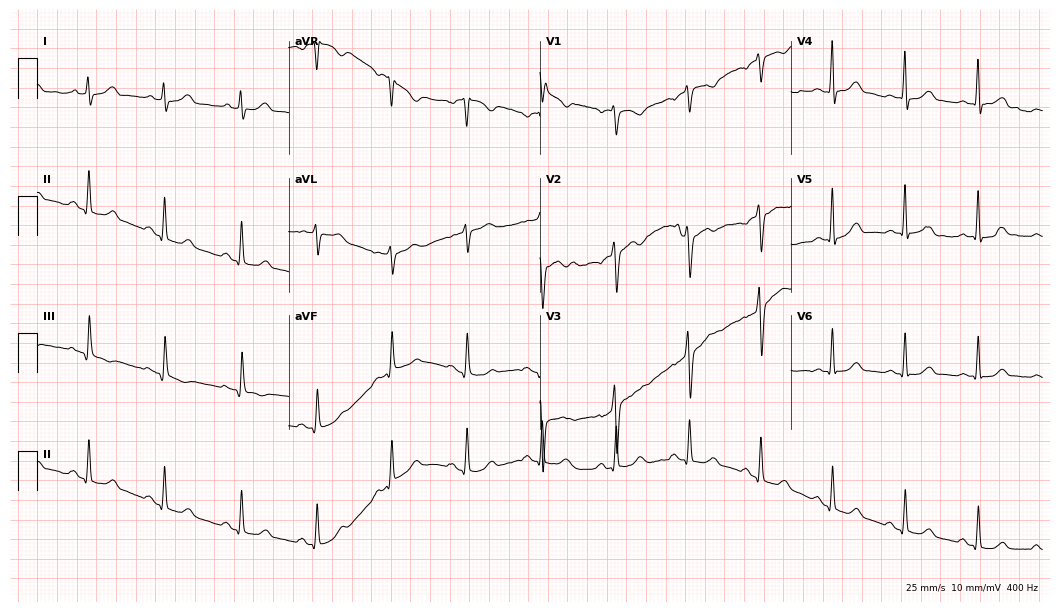
12-lead ECG from a female patient, 38 years old. Labelled as a normal ECG.